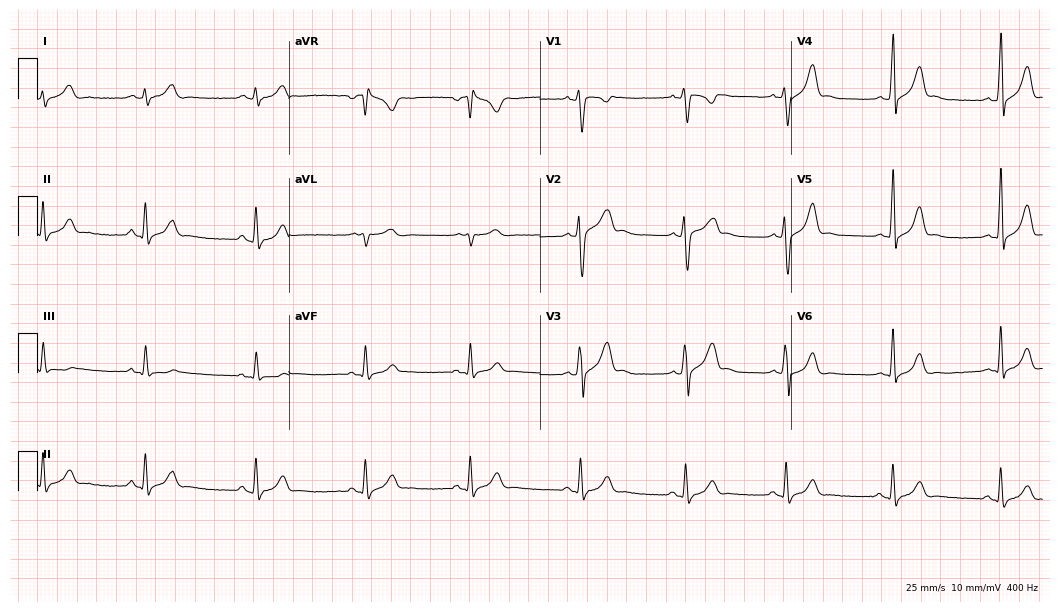
12-lead ECG from an 18-year-old male patient (10.2-second recording at 400 Hz). No first-degree AV block, right bundle branch block, left bundle branch block, sinus bradycardia, atrial fibrillation or sinus tachycardia recorded for this tracing. Findings outside these six are not listed.